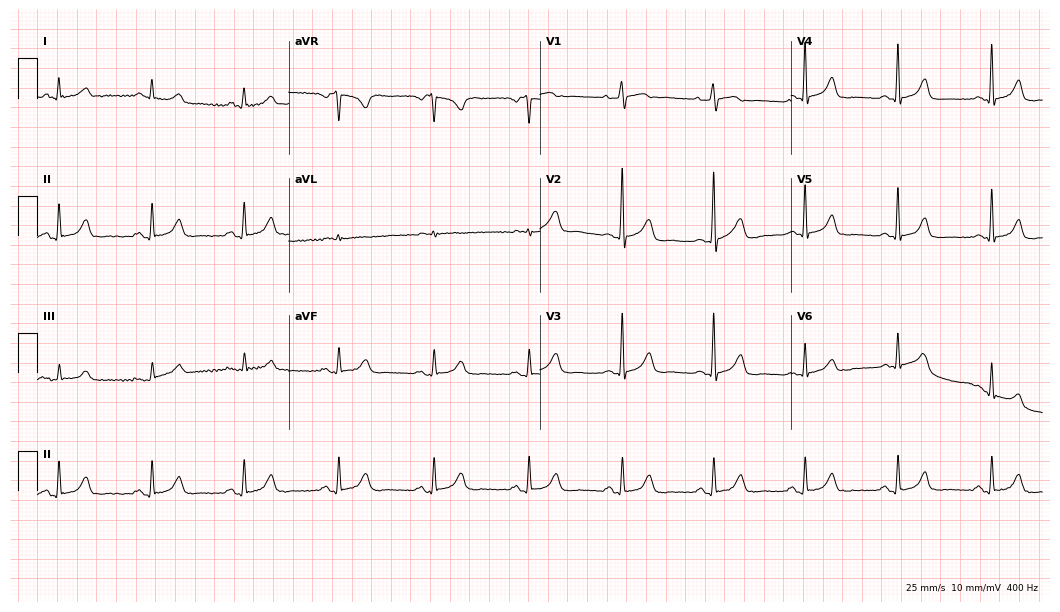
12-lead ECG from a 57-year-old woman (10.2-second recording at 400 Hz). Recorded interpretation: within normal limits.